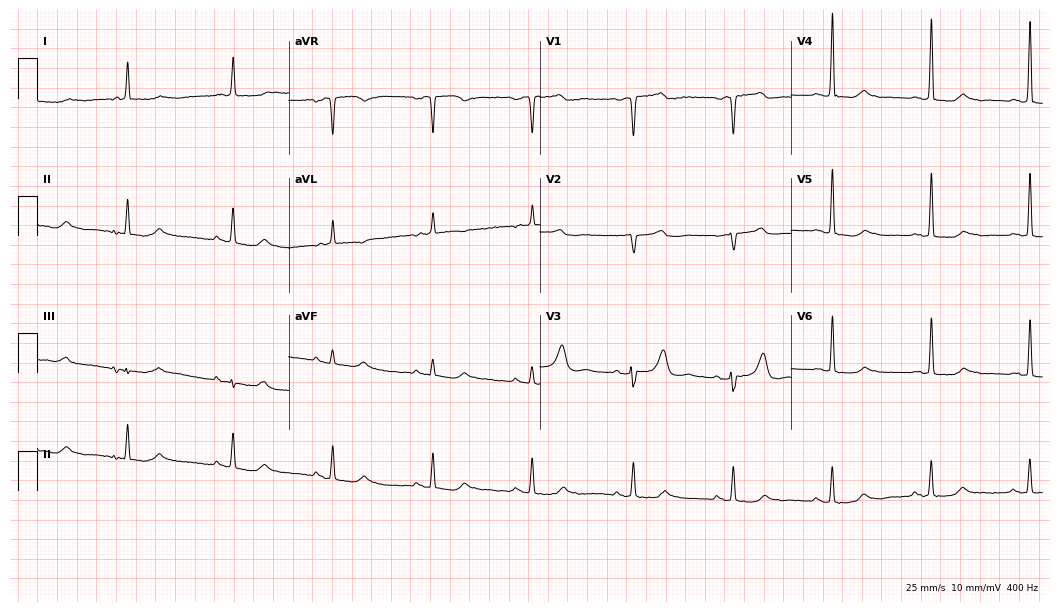
12-lead ECG from a female patient, 72 years old (10.2-second recording at 400 Hz). No first-degree AV block, right bundle branch block, left bundle branch block, sinus bradycardia, atrial fibrillation or sinus tachycardia recorded for this tracing. Findings outside these six are not listed.